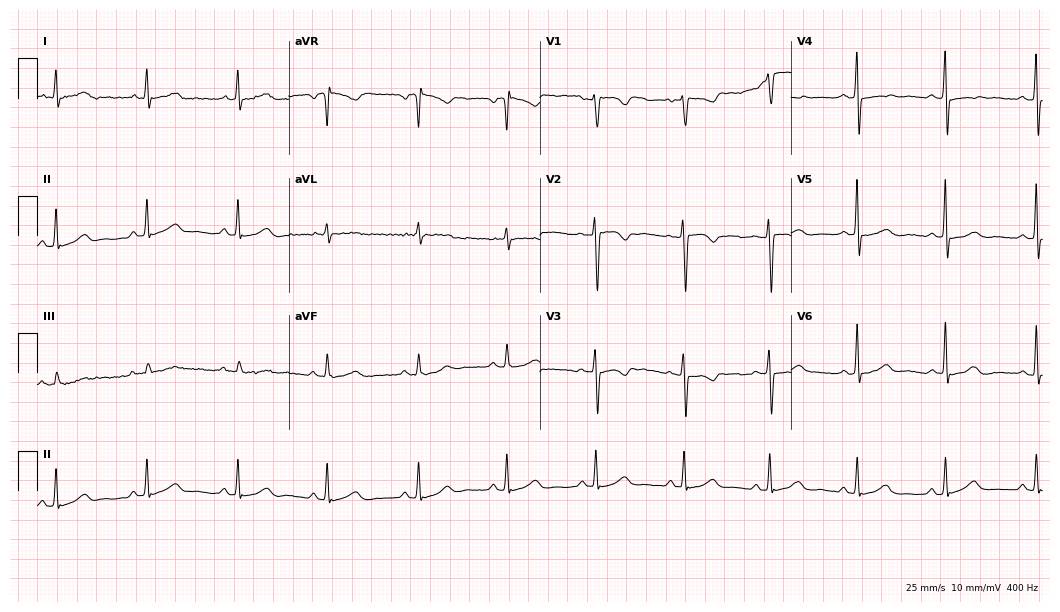
12-lead ECG from a female, 52 years old. Recorded interpretation: within normal limits.